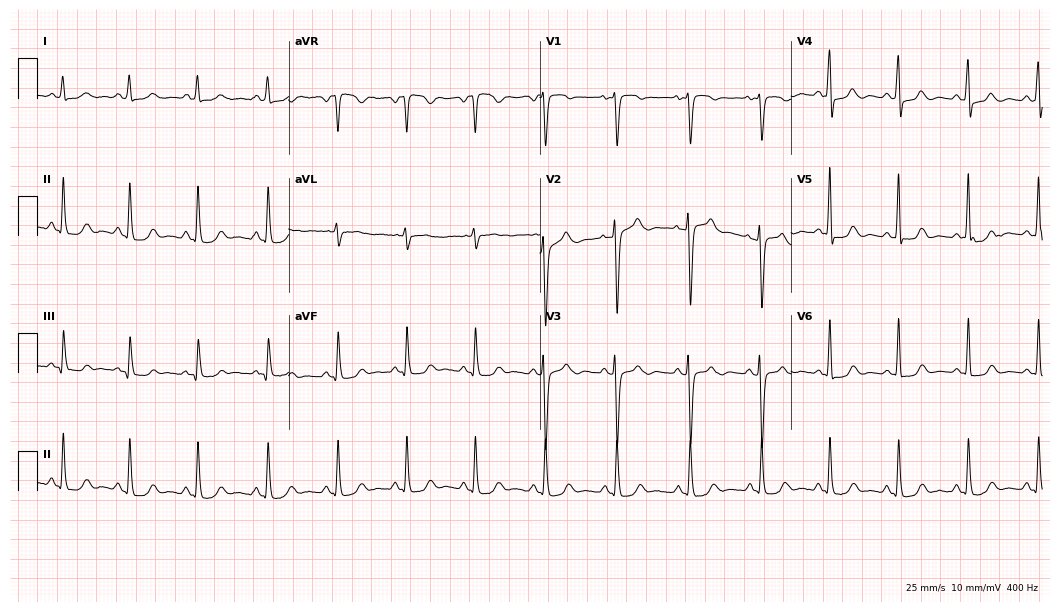
Resting 12-lead electrocardiogram (10.2-second recording at 400 Hz). Patient: a 51-year-old female. None of these six findings is recorded: first-degree AV block, right bundle branch block, left bundle branch block, sinus bradycardia, atrial fibrillation, sinus tachycardia.